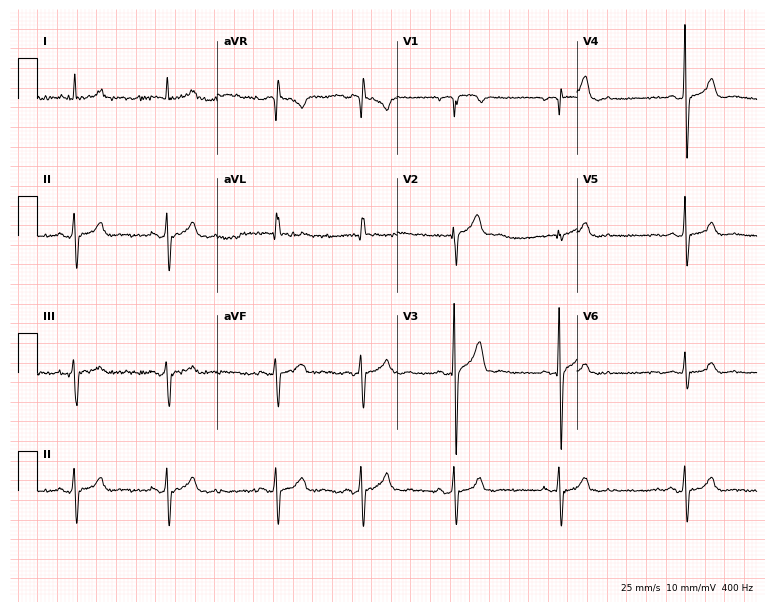
Standard 12-lead ECG recorded from a 44-year-old male. None of these six findings is recorded: first-degree AV block, right bundle branch block, left bundle branch block, sinus bradycardia, atrial fibrillation, sinus tachycardia.